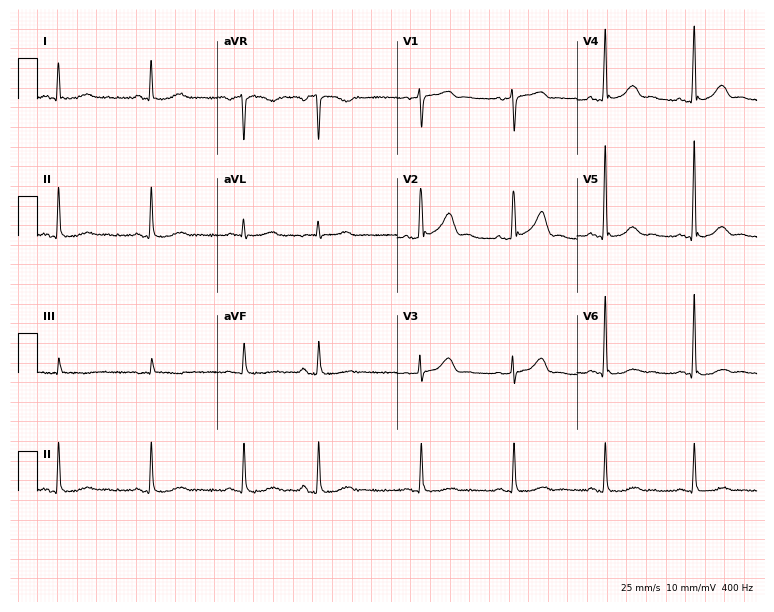
Electrocardiogram (7.3-second recording at 400 Hz), a 68-year-old male. Of the six screened findings (first-degree AV block, right bundle branch block, left bundle branch block, sinus bradycardia, atrial fibrillation, sinus tachycardia), none is recorded.